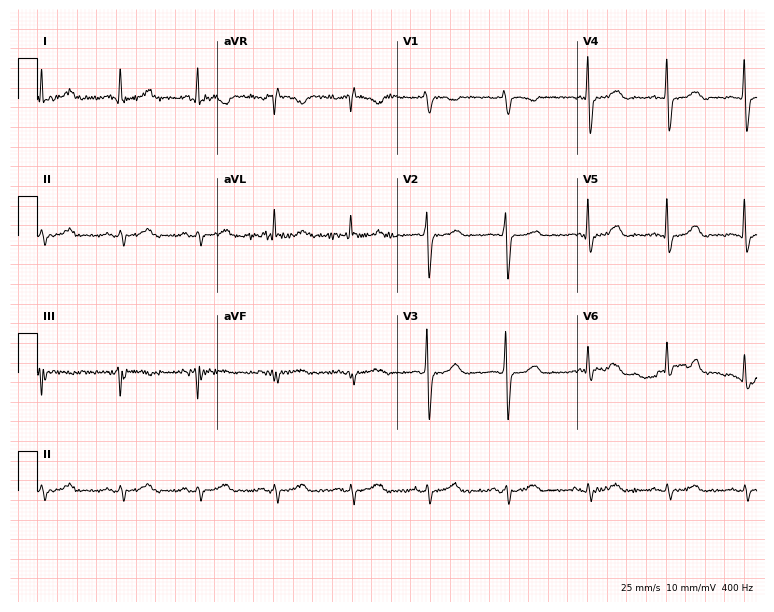
12-lead ECG from a female, 79 years old (7.3-second recording at 400 Hz). No first-degree AV block, right bundle branch block, left bundle branch block, sinus bradycardia, atrial fibrillation or sinus tachycardia recorded for this tracing.